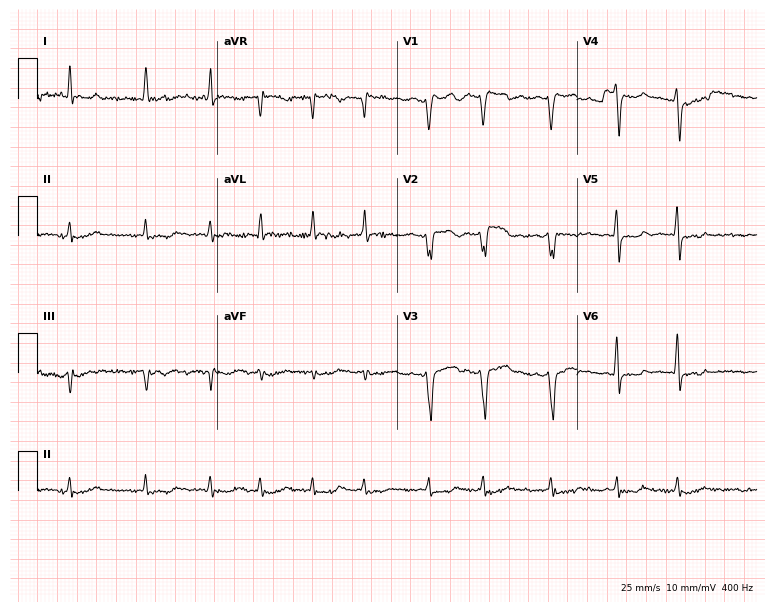
ECG (7.3-second recording at 400 Hz) — a 65-year-old male patient. Screened for six findings — first-degree AV block, right bundle branch block, left bundle branch block, sinus bradycardia, atrial fibrillation, sinus tachycardia — none is recorded. Other findings, if any, are not listed.